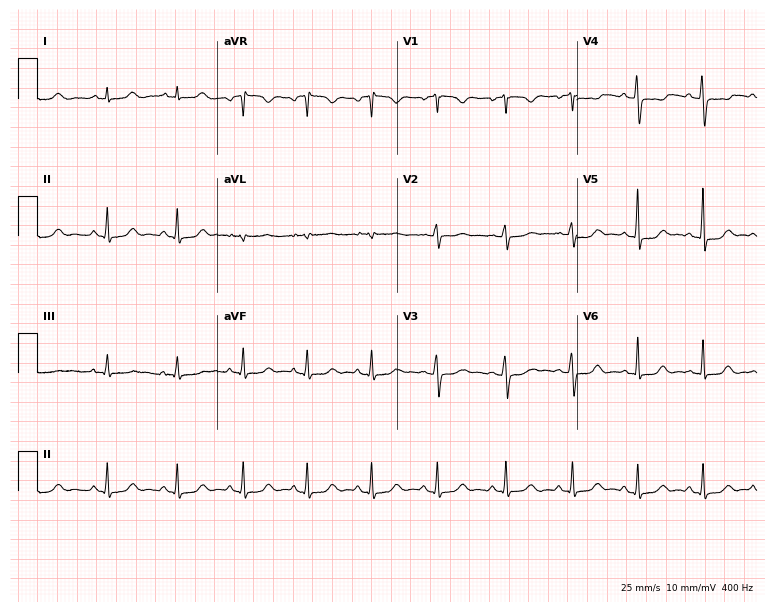
12-lead ECG from a female, 18 years old (7.3-second recording at 400 Hz). Recorded interpretation: within normal limits.